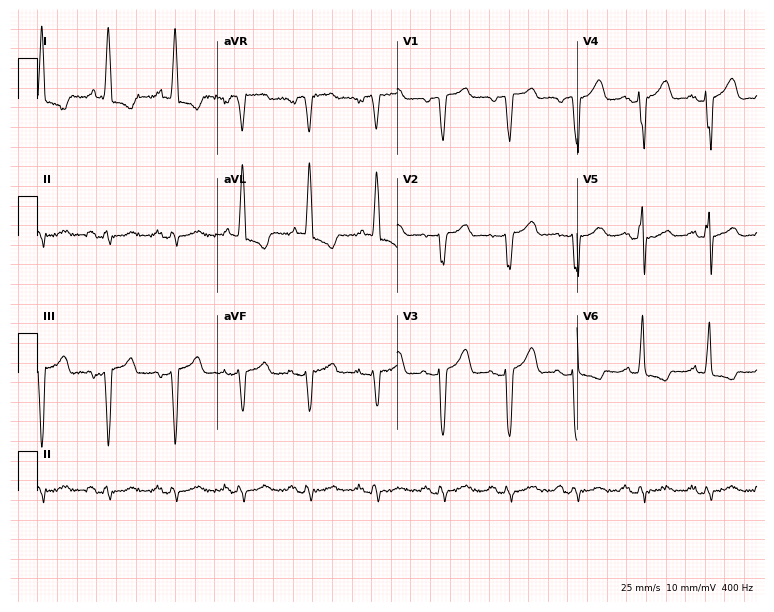
ECG — a 78-year-old female. Screened for six findings — first-degree AV block, right bundle branch block, left bundle branch block, sinus bradycardia, atrial fibrillation, sinus tachycardia — none is recorded. Findings outside these six are not listed.